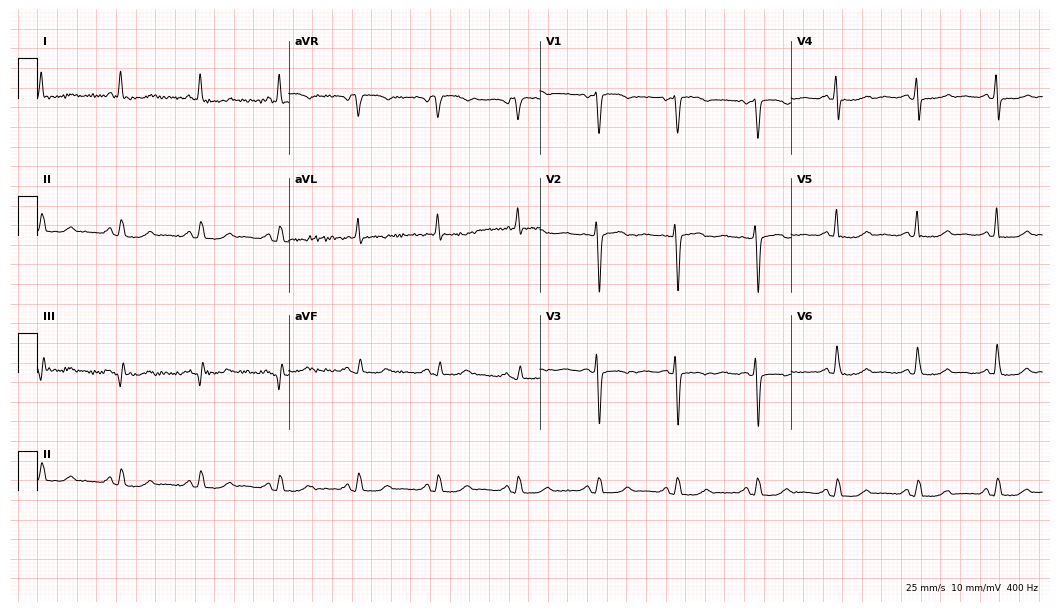
12-lead ECG from a female patient, 79 years old. No first-degree AV block, right bundle branch block (RBBB), left bundle branch block (LBBB), sinus bradycardia, atrial fibrillation (AF) or sinus tachycardia recorded for this tracing. Findings outside these six are not listed.